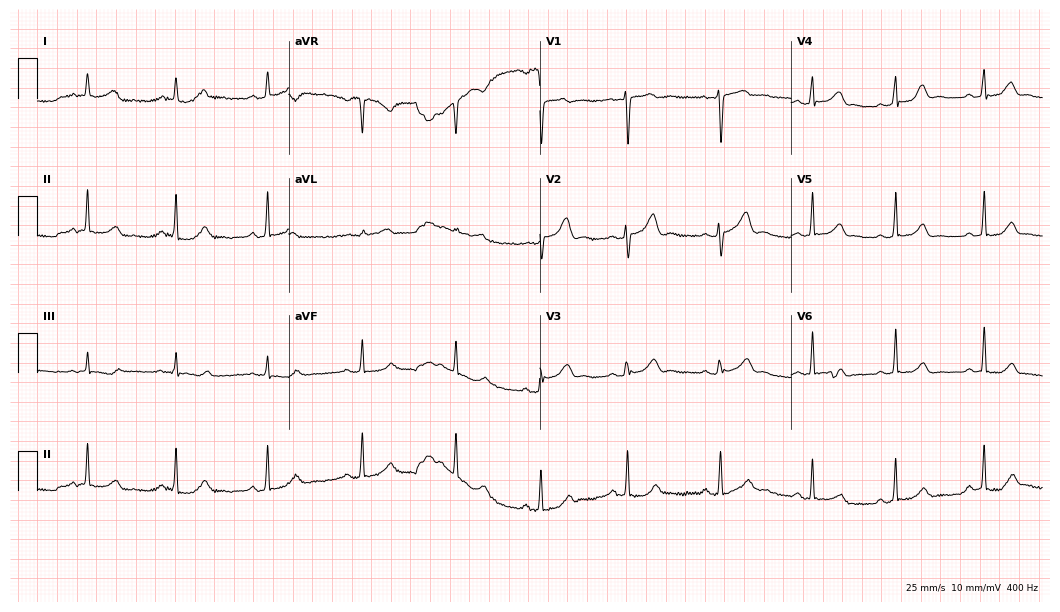
Electrocardiogram, a woman, 28 years old. Overall reading on record: normal ECG.